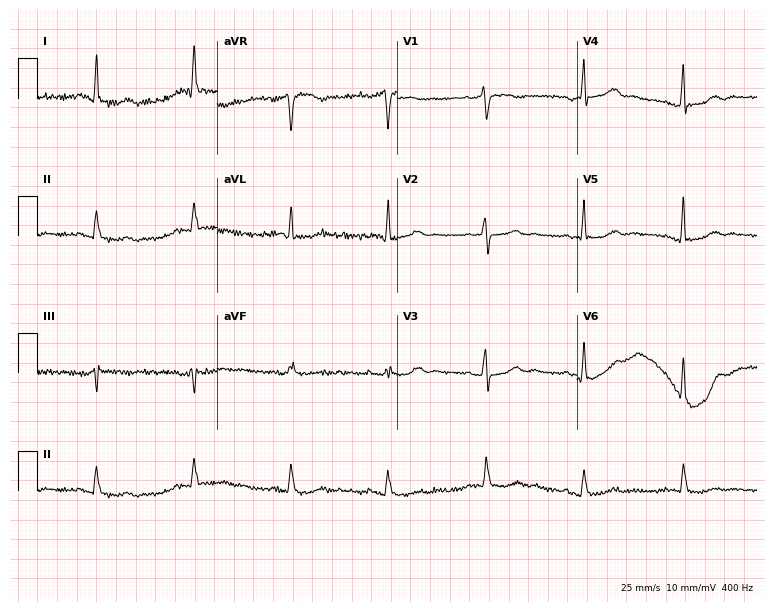
Electrocardiogram, a 69-year-old woman. Of the six screened findings (first-degree AV block, right bundle branch block (RBBB), left bundle branch block (LBBB), sinus bradycardia, atrial fibrillation (AF), sinus tachycardia), none is recorded. Other findings, if any, are not listed.